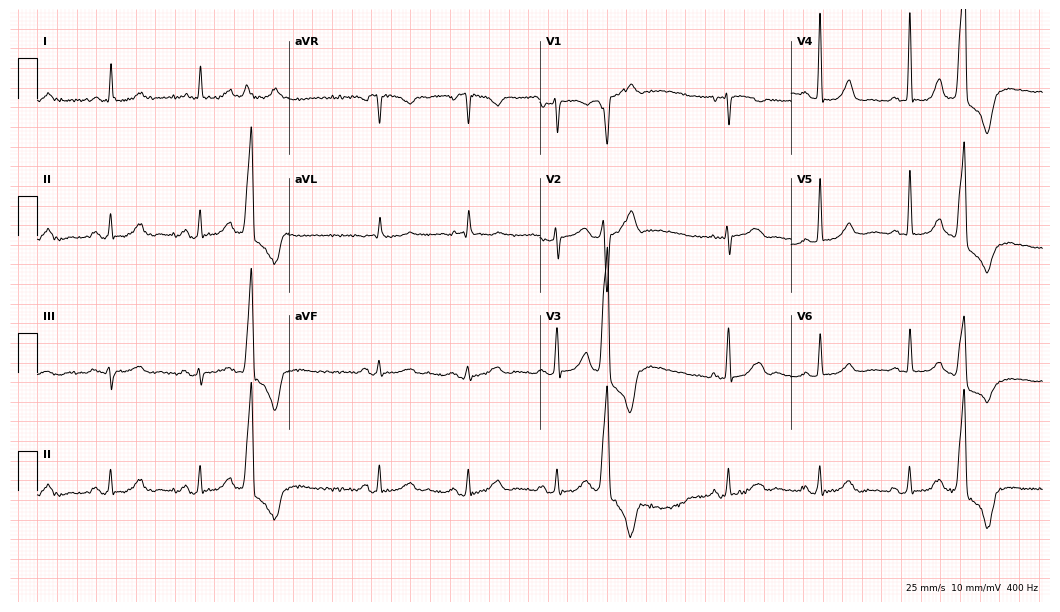
12-lead ECG from a 71-year-old female. Screened for six findings — first-degree AV block, right bundle branch block, left bundle branch block, sinus bradycardia, atrial fibrillation, sinus tachycardia — none is recorded. Findings outside these six are not listed.